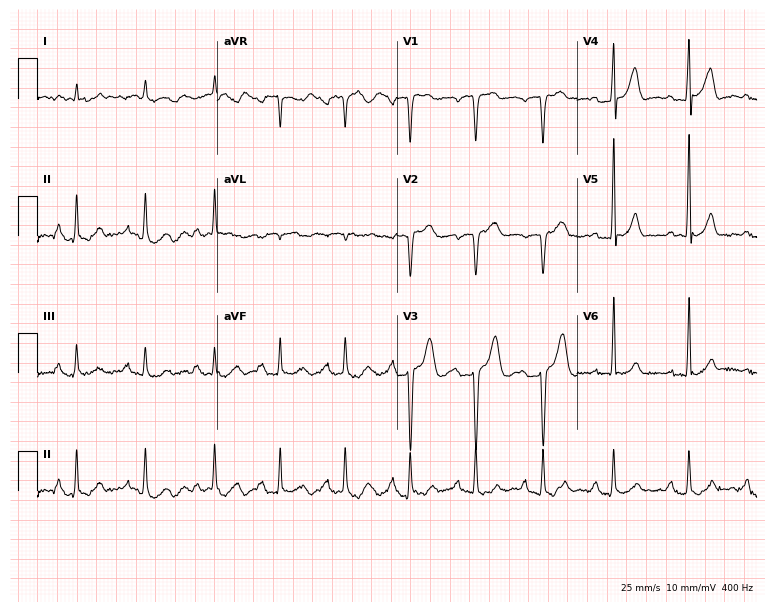
Electrocardiogram (7.3-second recording at 400 Hz), a male patient, 78 years old. Interpretation includes first-degree AV block.